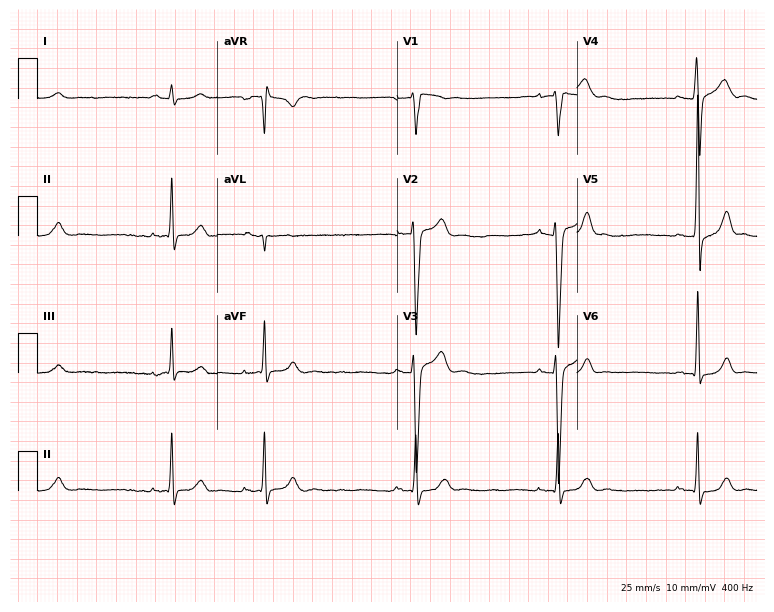
Electrocardiogram (7.3-second recording at 400 Hz), a 22-year-old male. Interpretation includes sinus bradycardia (a sinus rate of 50 beats per minute or less).